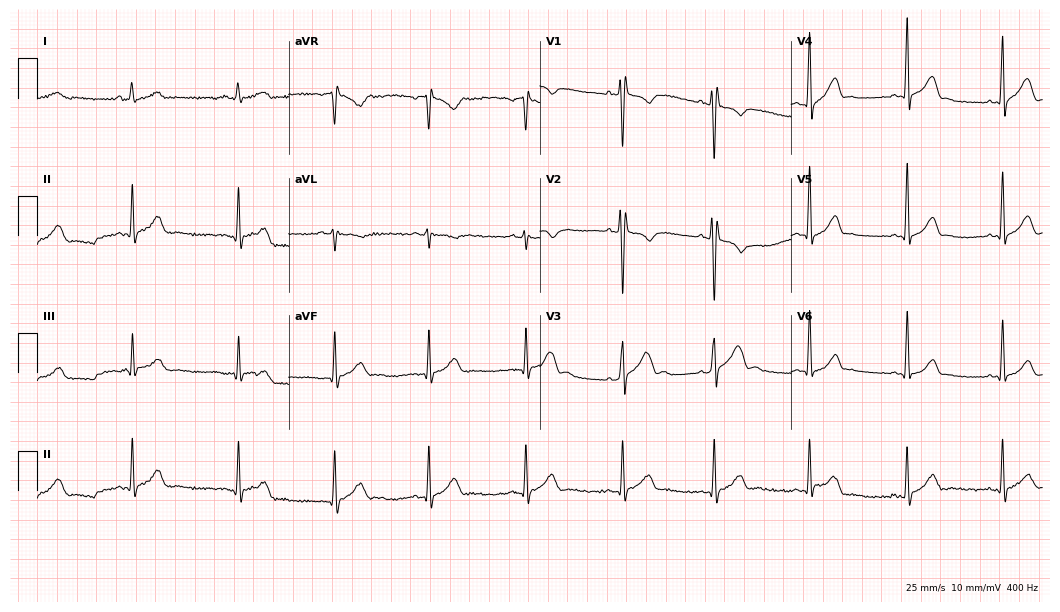
12-lead ECG from an 18-year-old male (10.2-second recording at 400 Hz). No first-degree AV block, right bundle branch block, left bundle branch block, sinus bradycardia, atrial fibrillation or sinus tachycardia recorded for this tracing.